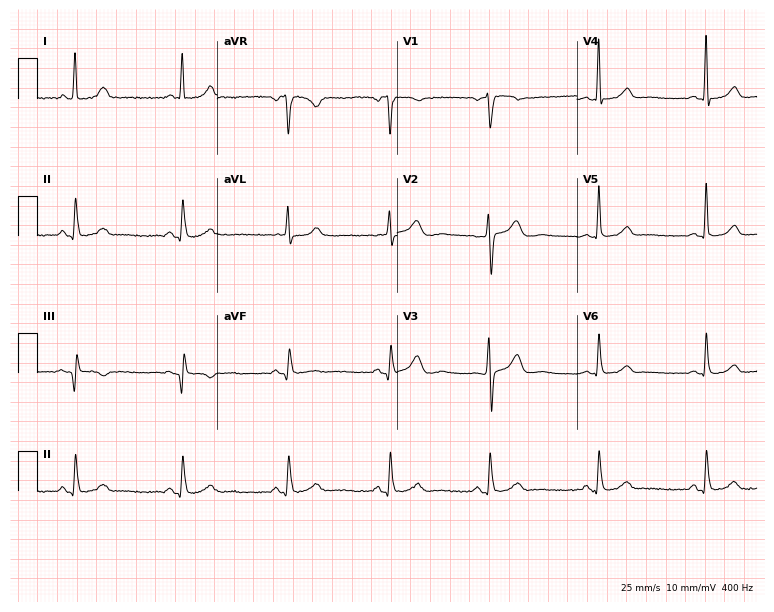
Resting 12-lead electrocardiogram. Patient: a female, 57 years old. None of these six findings is recorded: first-degree AV block, right bundle branch block, left bundle branch block, sinus bradycardia, atrial fibrillation, sinus tachycardia.